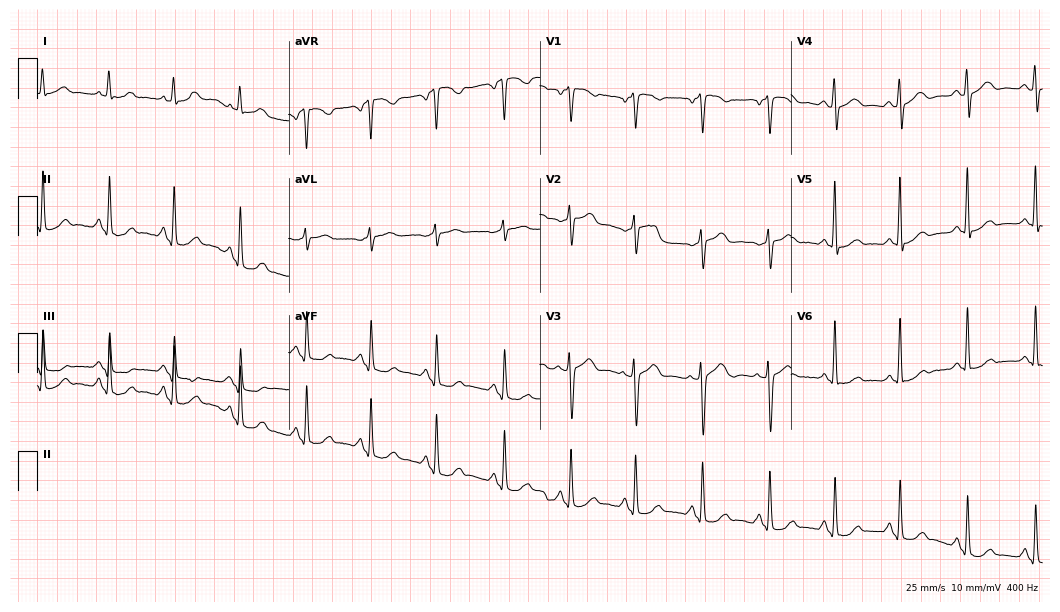
Standard 12-lead ECG recorded from a female, 57 years old. None of these six findings is recorded: first-degree AV block, right bundle branch block (RBBB), left bundle branch block (LBBB), sinus bradycardia, atrial fibrillation (AF), sinus tachycardia.